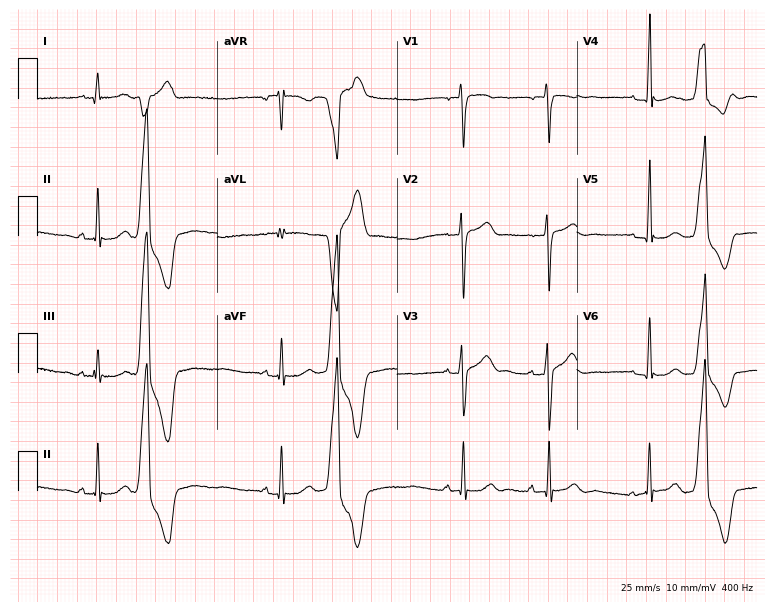
Electrocardiogram, a 24-year-old male patient. Of the six screened findings (first-degree AV block, right bundle branch block, left bundle branch block, sinus bradycardia, atrial fibrillation, sinus tachycardia), none is recorded. Other findings, if any, are not listed.